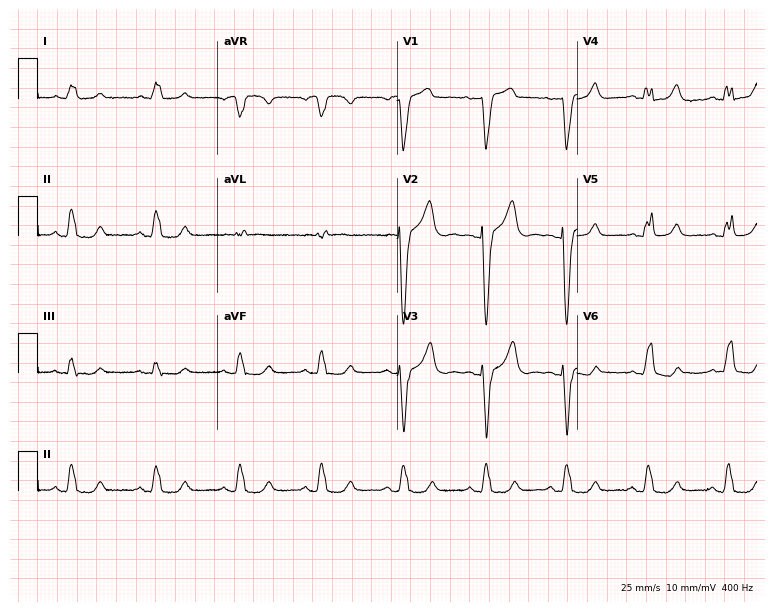
12-lead ECG (7.3-second recording at 400 Hz) from a female, 51 years old. Findings include left bundle branch block (LBBB).